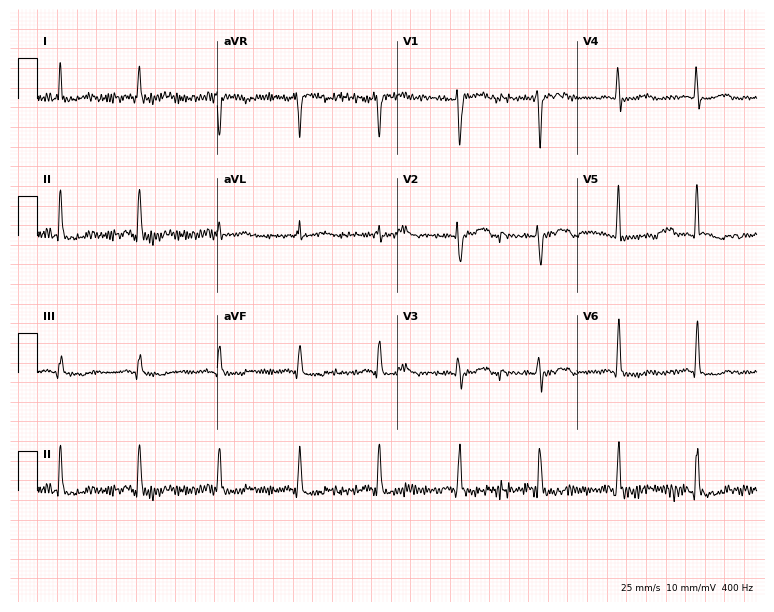
12-lead ECG from a 46-year-old female. Screened for six findings — first-degree AV block, right bundle branch block, left bundle branch block, sinus bradycardia, atrial fibrillation, sinus tachycardia — none is recorded. Only these six findings were labelled.